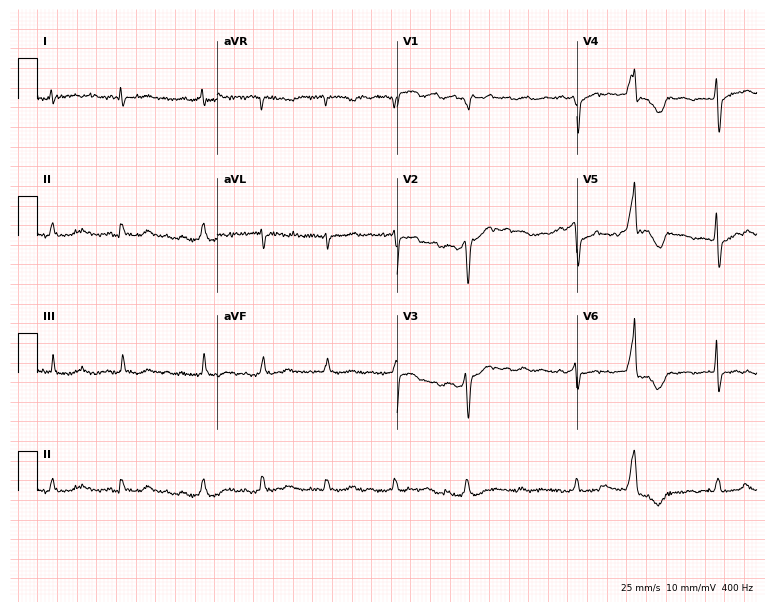
ECG — a male, 66 years old. Screened for six findings — first-degree AV block, right bundle branch block, left bundle branch block, sinus bradycardia, atrial fibrillation, sinus tachycardia — none is recorded. Other findings, if any, are not listed.